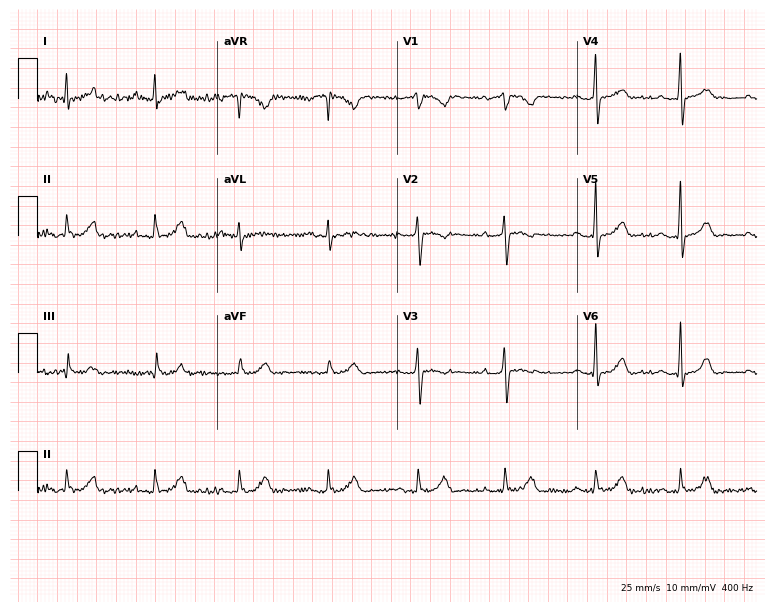
Electrocardiogram (7.3-second recording at 400 Hz), a woman, 32 years old. Of the six screened findings (first-degree AV block, right bundle branch block, left bundle branch block, sinus bradycardia, atrial fibrillation, sinus tachycardia), none is recorded. Other findings, if any, are not listed.